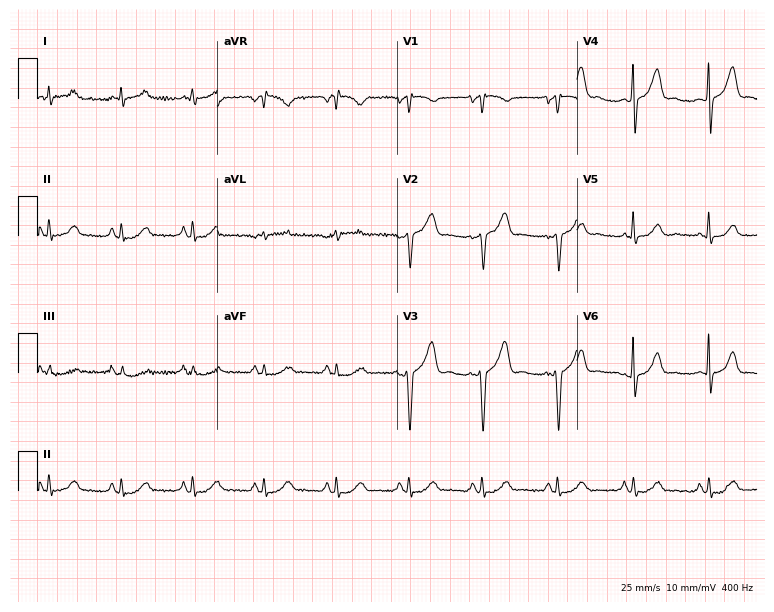
Electrocardiogram (7.3-second recording at 400 Hz), a 68-year-old man. Overall reading on record: normal ECG.